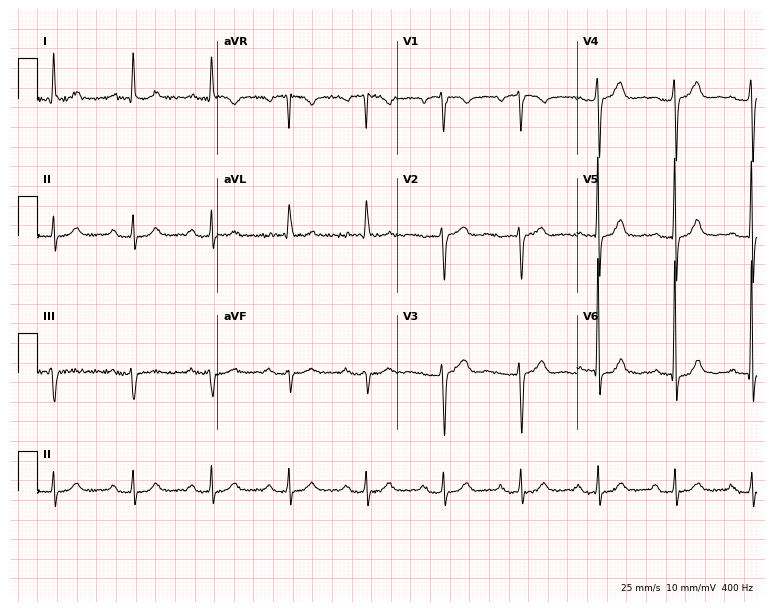
Electrocardiogram, a 76-year-old male patient. Overall reading on record: normal ECG.